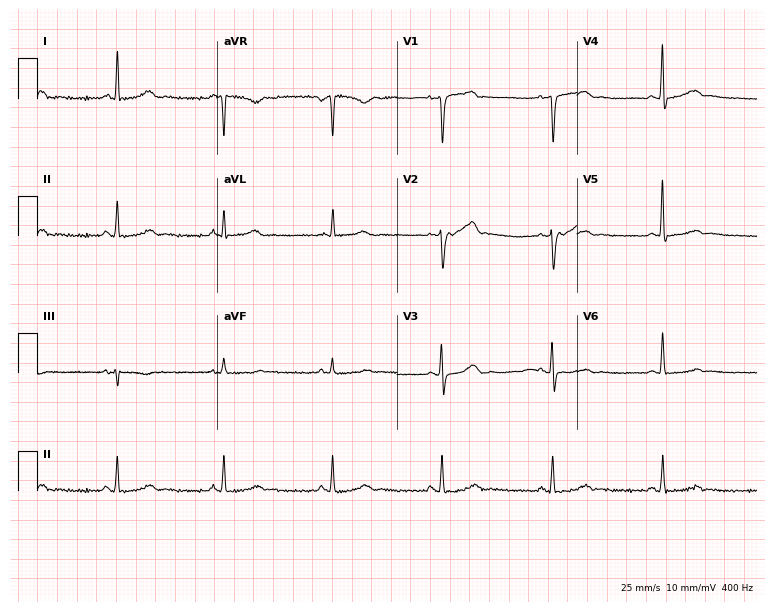
Electrocardiogram, a 60-year-old female patient. Of the six screened findings (first-degree AV block, right bundle branch block (RBBB), left bundle branch block (LBBB), sinus bradycardia, atrial fibrillation (AF), sinus tachycardia), none is recorded.